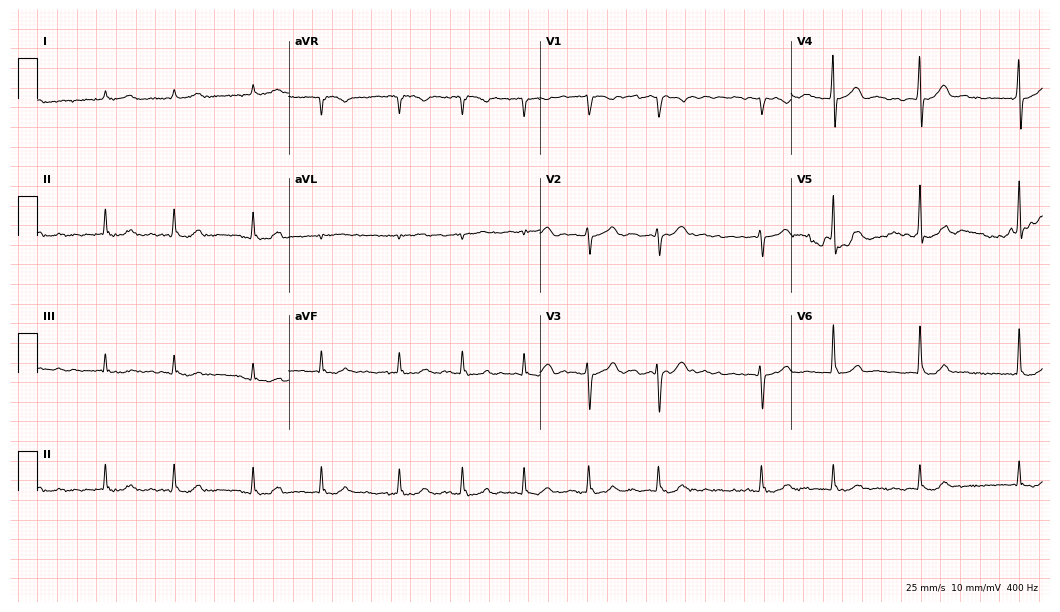
12-lead ECG from a male, 83 years old. Screened for six findings — first-degree AV block, right bundle branch block, left bundle branch block, sinus bradycardia, atrial fibrillation, sinus tachycardia — none is recorded.